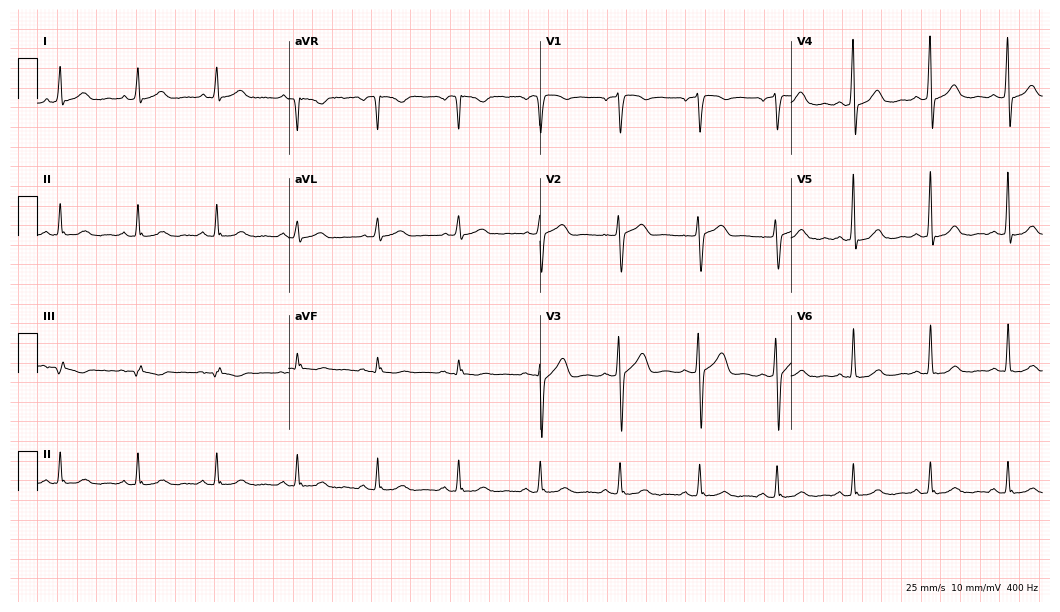
Standard 12-lead ECG recorded from a male, 49 years old. Read as a normal ECG.